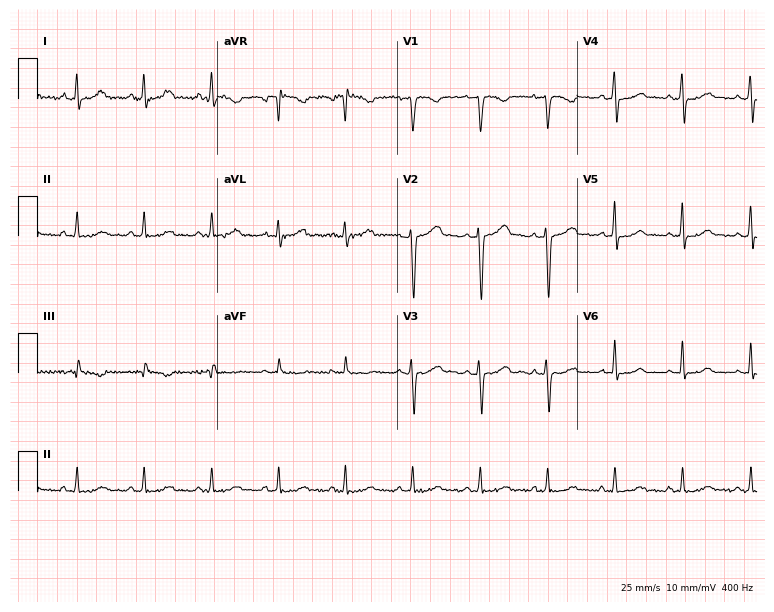
12-lead ECG from a male, 41 years old. Labelled as a normal ECG.